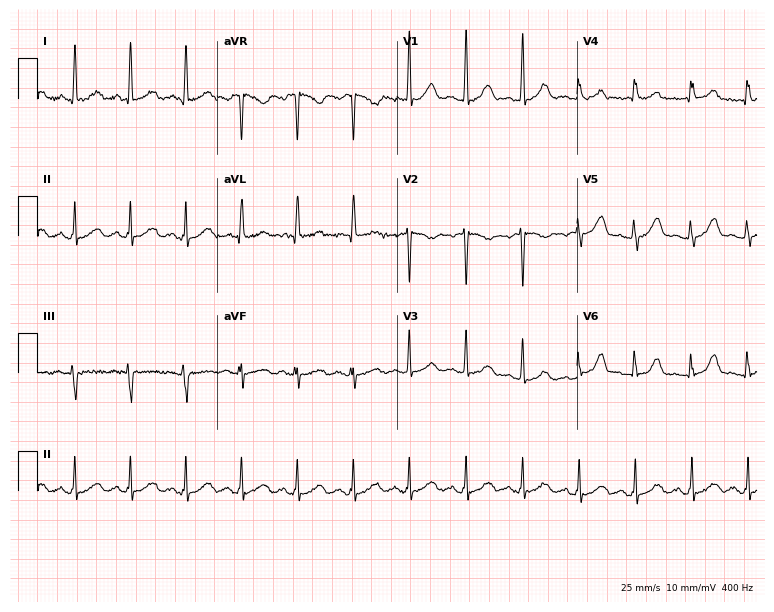
12-lead ECG from a 40-year-old female patient. Screened for six findings — first-degree AV block, right bundle branch block, left bundle branch block, sinus bradycardia, atrial fibrillation, sinus tachycardia — none is recorded. Other findings, if any, are not listed.